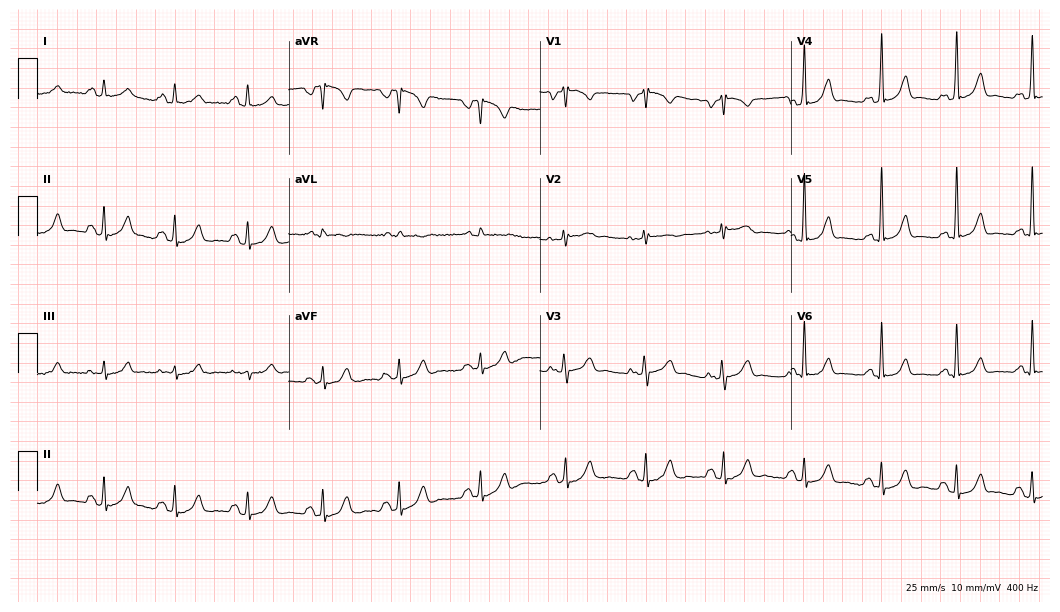
Electrocardiogram, a woman, 22 years old. Of the six screened findings (first-degree AV block, right bundle branch block (RBBB), left bundle branch block (LBBB), sinus bradycardia, atrial fibrillation (AF), sinus tachycardia), none is recorded. Other findings, if any, are not listed.